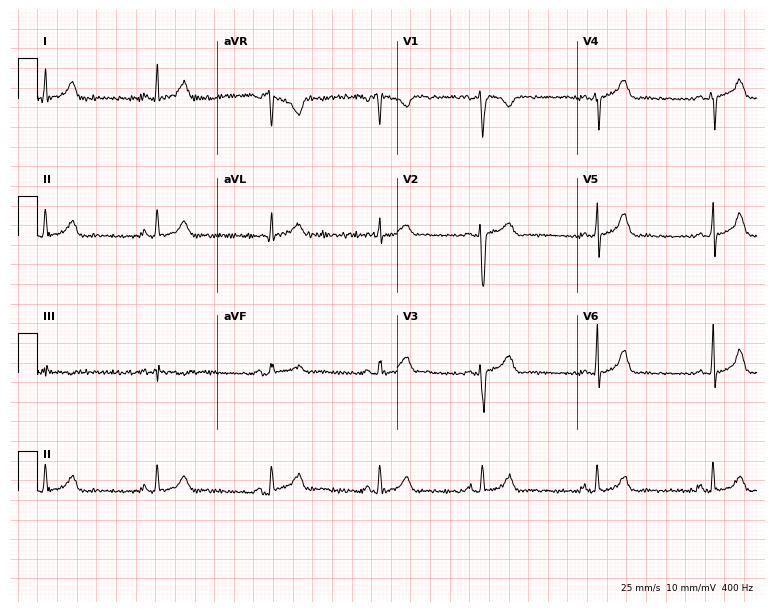
12-lead ECG from a 30-year-old woman. No first-degree AV block, right bundle branch block (RBBB), left bundle branch block (LBBB), sinus bradycardia, atrial fibrillation (AF) or sinus tachycardia recorded for this tracing. Other findings, if any, are not listed.